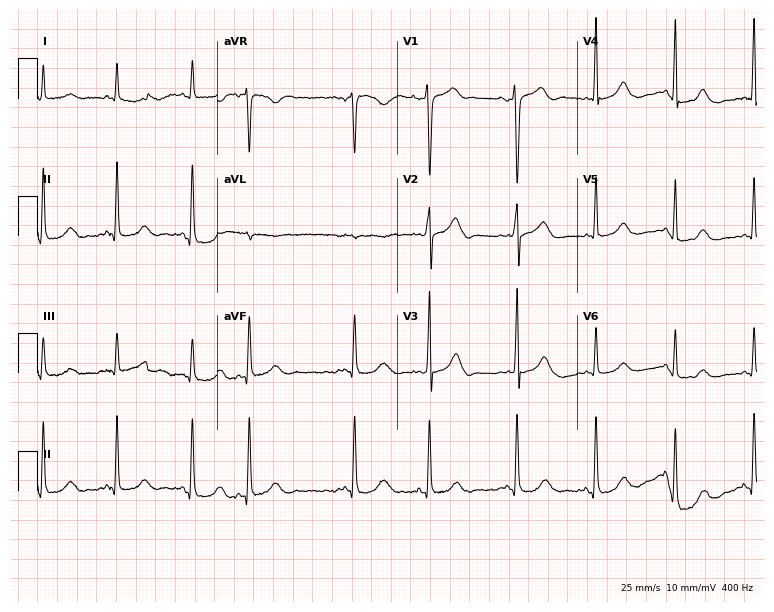
12-lead ECG from a female patient, 34 years old (7.3-second recording at 400 Hz). No first-degree AV block, right bundle branch block, left bundle branch block, sinus bradycardia, atrial fibrillation or sinus tachycardia recorded for this tracing.